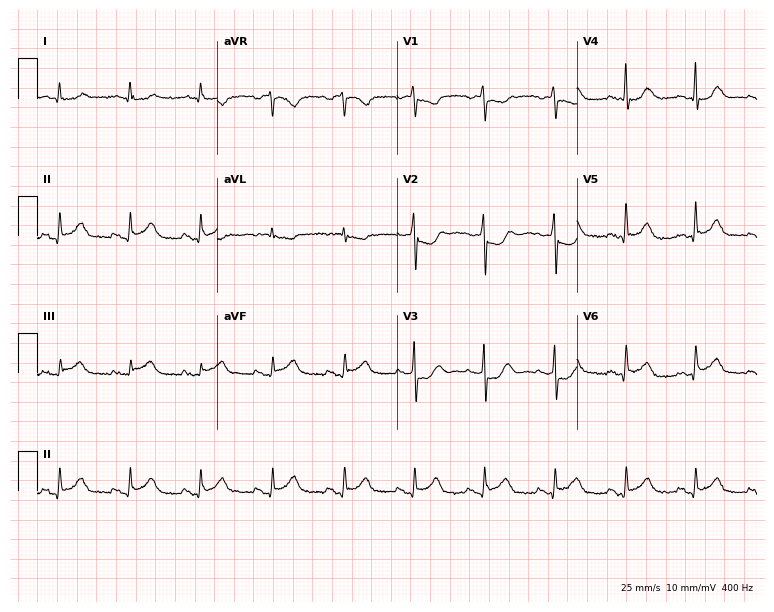
Standard 12-lead ECG recorded from a 78-year-old female patient (7.3-second recording at 400 Hz). None of these six findings is recorded: first-degree AV block, right bundle branch block, left bundle branch block, sinus bradycardia, atrial fibrillation, sinus tachycardia.